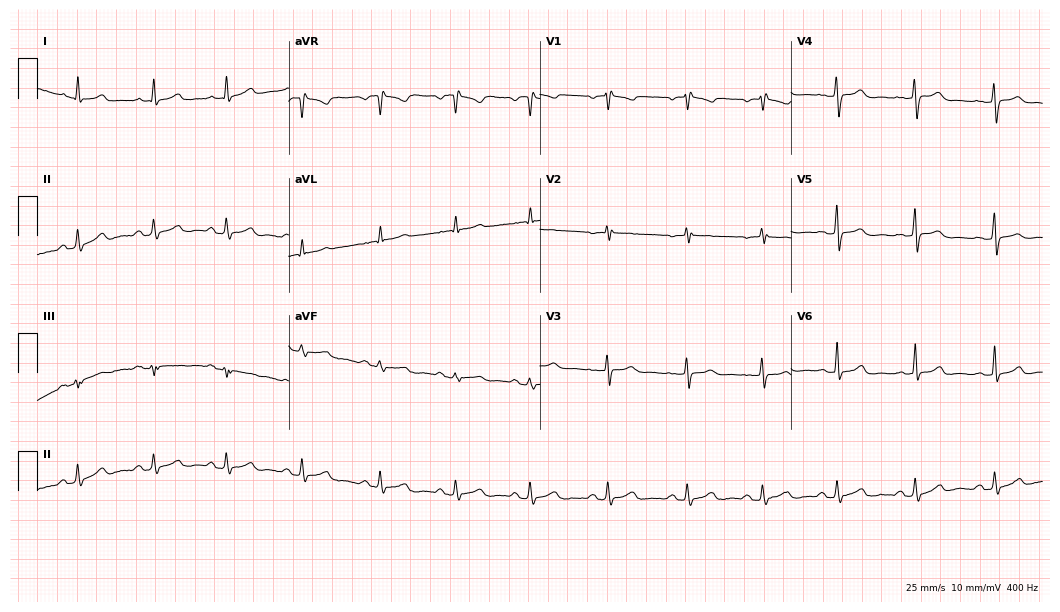
Standard 12-lead ECG recorded from a 33-year-old female patient. None of these six findings is recorded: first-degree AV block, right bundle branch block (RBBB), left bundle branch block (LBBB), sinus bradycardia, atrial fibrillation (AF), sinus tachycardia.